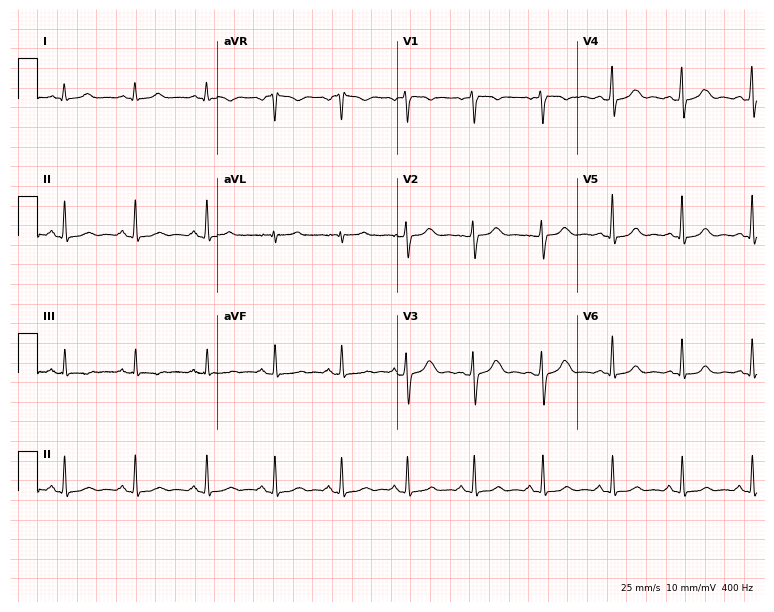
Resting 12-lead electrocardiogram (7.3-second recording at 400 Hz). Patient: a female, 36 years old. None of these six findings is recorded: first-degree AV block, right bundle branch block, left bundle branch block, sinus bradycardia, atrial fibrillation, sinus tachycardia. Only these six findings were labelled.